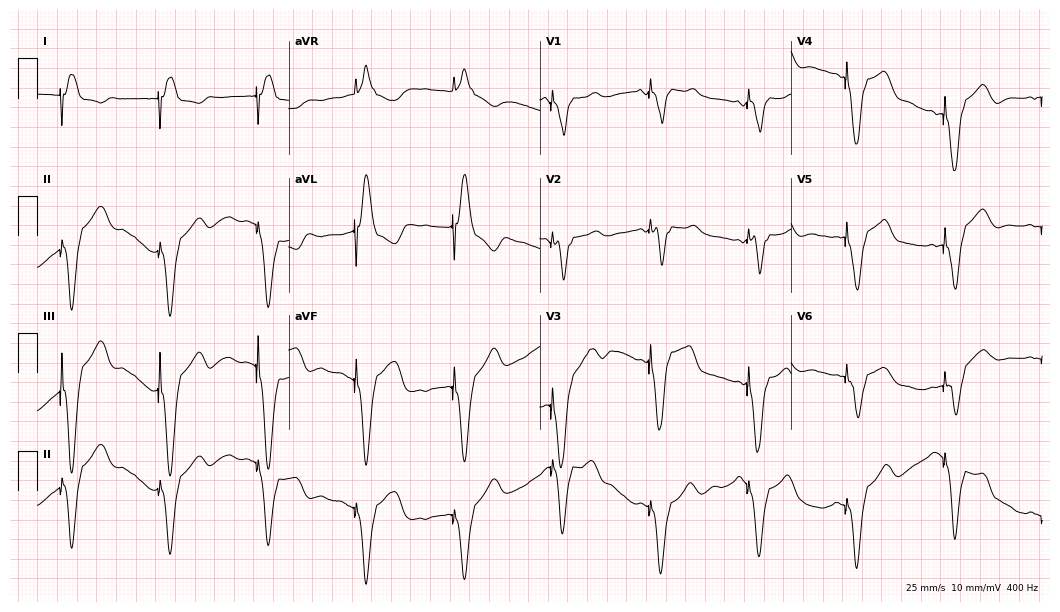
Standard 12-lead ECG recorded from a woman, 72 years old. None of these six findings is recorded: first-degree AV block, right bundle branch block (RBBB), left bundle branch block (LBBB), sinus bradycardia, atrial fibrillation (AF), sinus tachycardia.